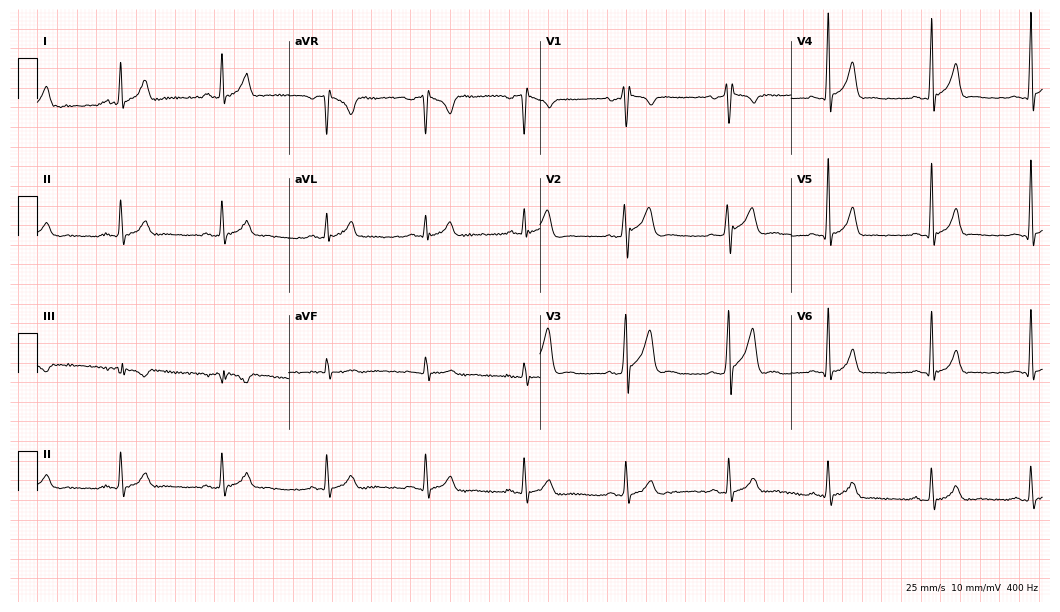
Resting 12-lead electrocardiogram. Patient: a 27-year-old male. Read as a normal ECG.